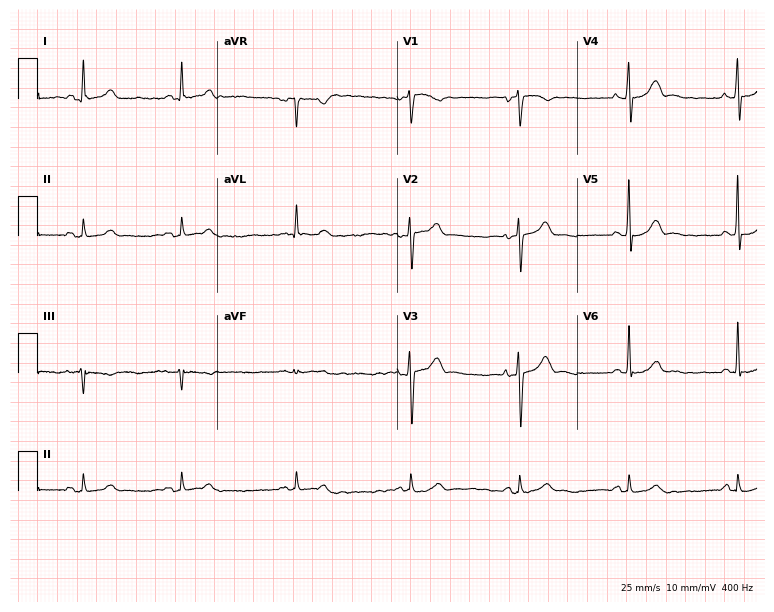
12-lead ECG from a 73-year-old male patient (7.3-second recording at 400 Hz). Recorded interpretation: within normal limits.